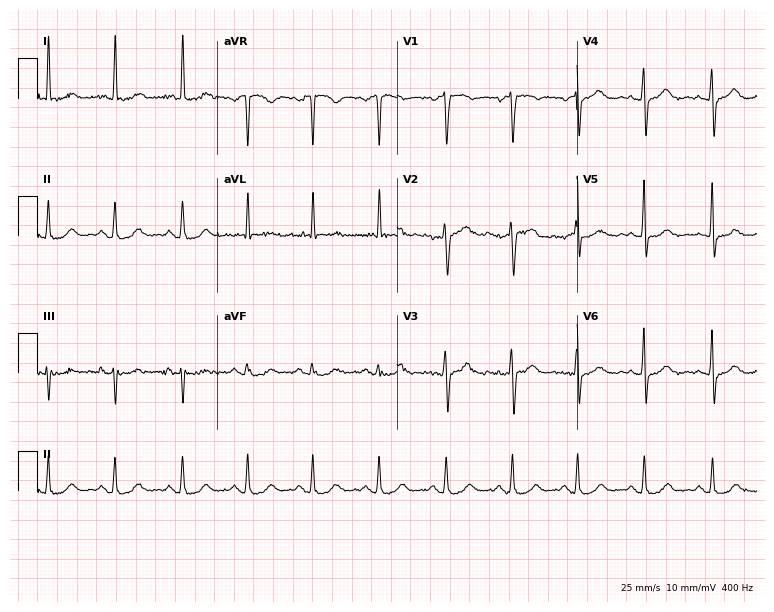
Standard 12-lead ECG recorded from a 66-year-old female (7.3-second recording at 400 Hz). Read as a normal ECG.